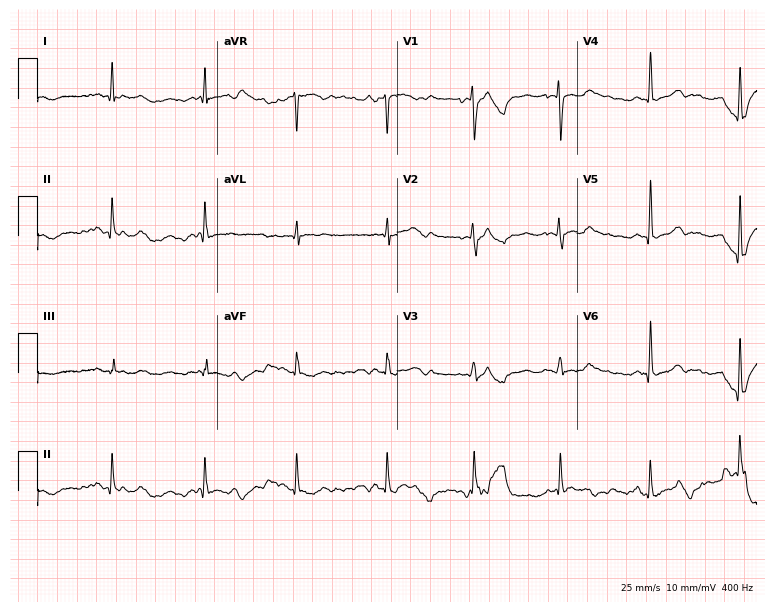
Standard 12-lead ECG recorded from a 39-year-old woman (7.3-second recording at 400 Hz). Read as a normal ECG.